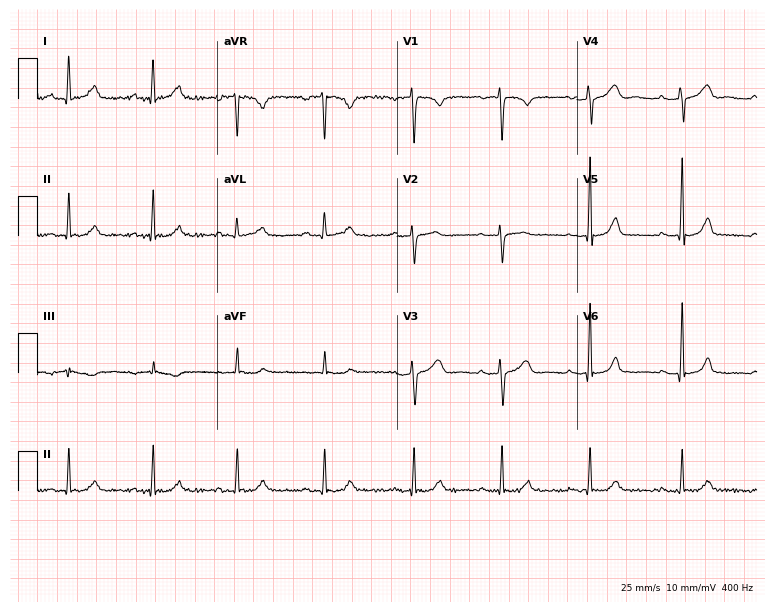
Standard 12-lead ECG recorded from a 33-year-old woman. None of these six findings is recorded: first-degree AV block, right bundle branch block, left bundle branch block, sinus bradycardia, atrial fibrillation, sinus tachycardia.